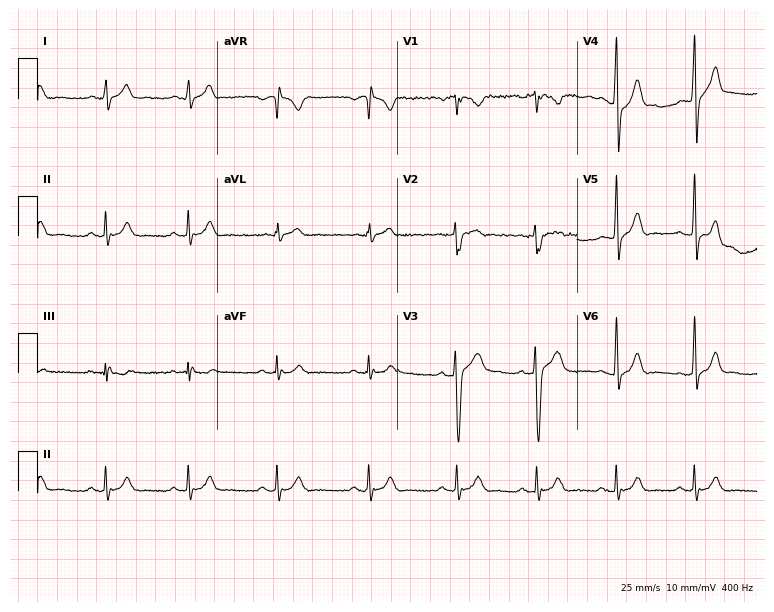
Standard 12-lead ECG recorded from a male, 23 years old (7.3-second recording at 400 Hz). Read as a normal ECG.